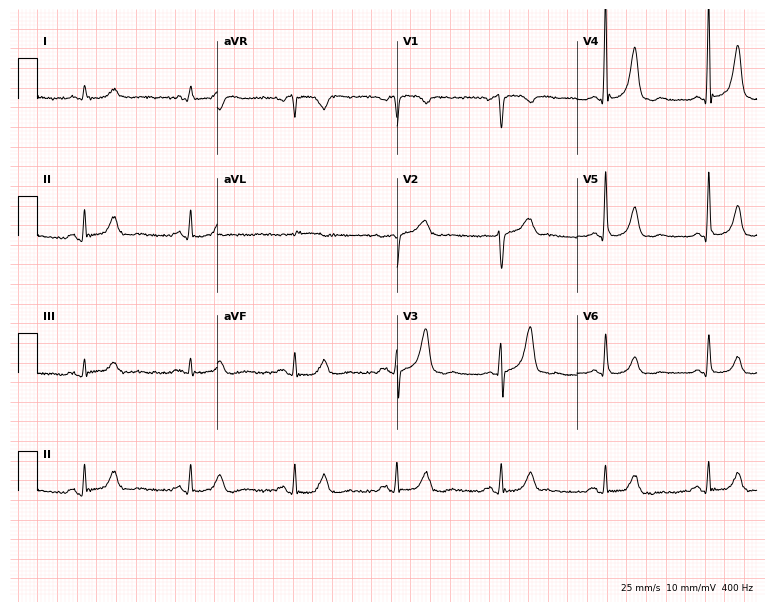
ECG (7.3-second recording at 400 Hz) — a male, 61 years old. Screened for six findings — first-degree AV block, right bundle branch block, left bundle branch block, sinus bradycardia, atrial fibrillation, sinus tachycardia — none is recorded. Only these six findings were labelled.